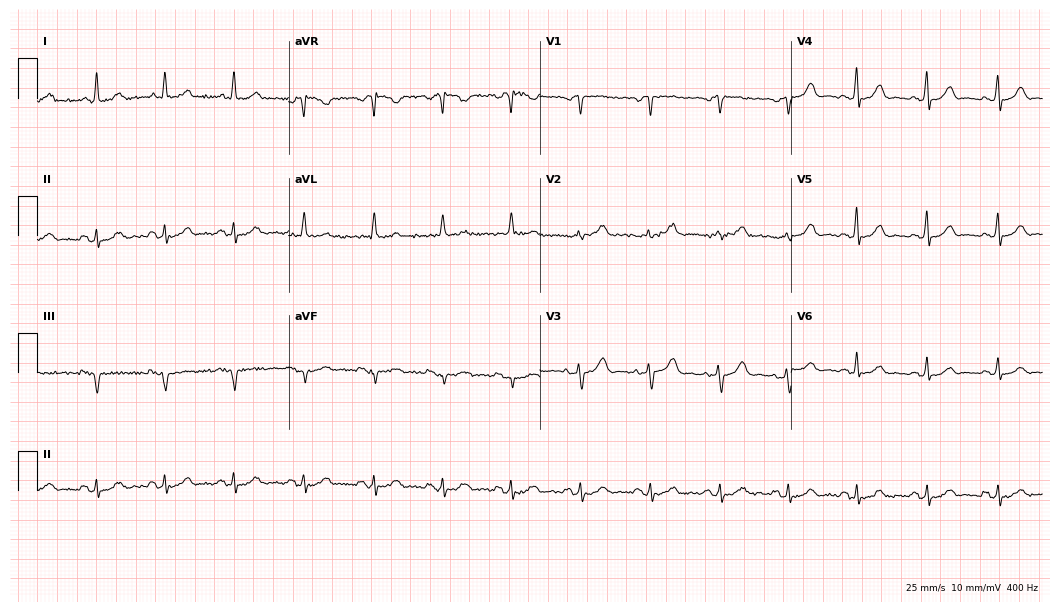
12-lead ECG from a woman, 62 years old. Recorded interpretation: within normal limits.